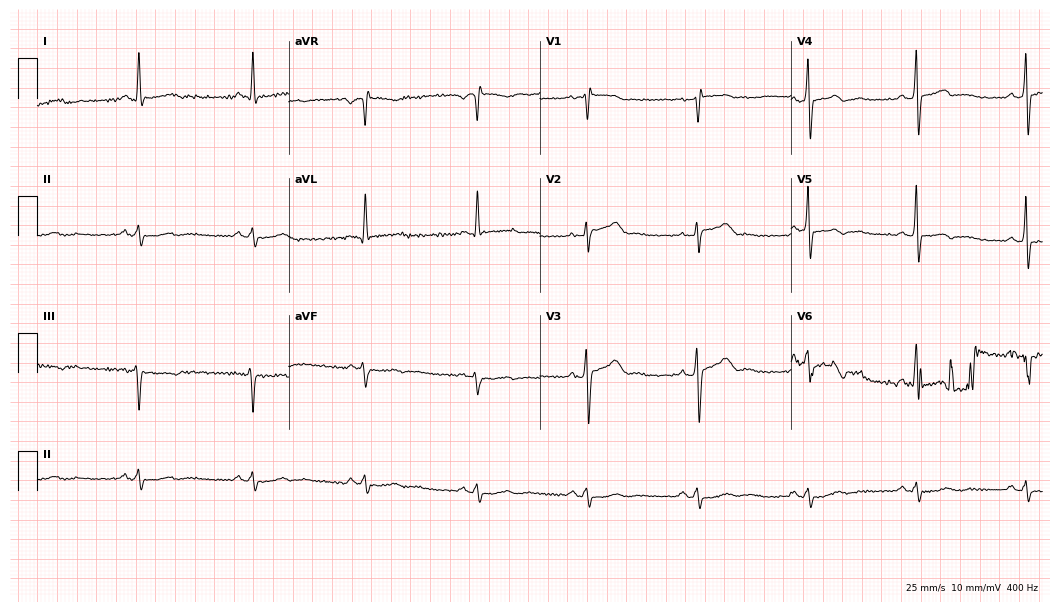
12-lead ECG from a 65-year-old male patient (10.2-second recording at 400 Hz). Recorded interpretation: within normal limits.